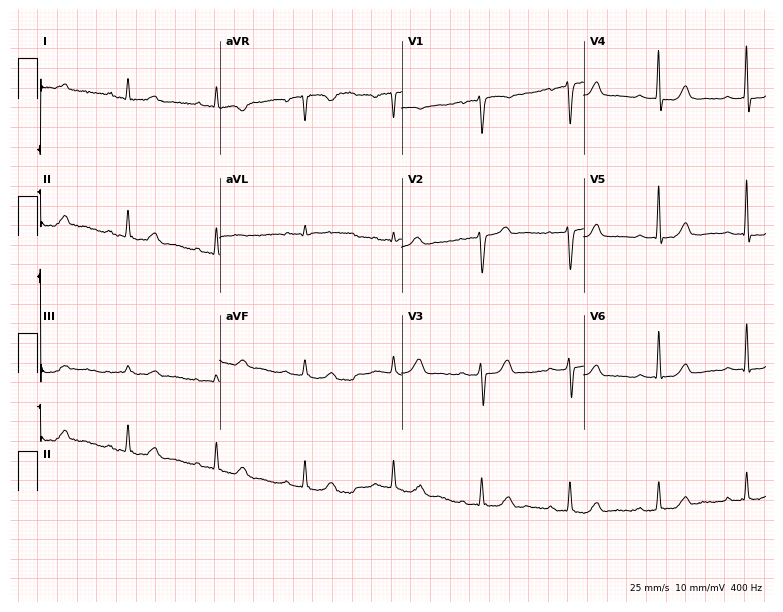
12-lead ECG from a woman, 56 years old. No first-degree AV block, right bundle branch block (RBBB), left bundle branch block (LBBB), sinus bradycardia, atrial fibrillation (AF) or sinus tachycardia recorded for this tracing. Findings outside these six are not listed.